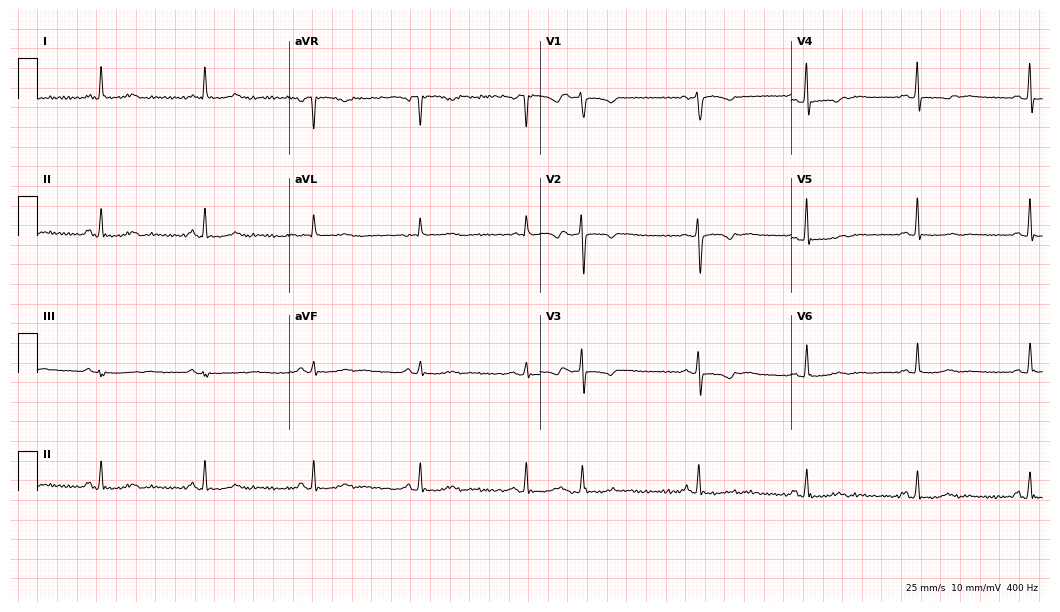
12-lead ECG from a 79-year-old female. Screened for six findings — first-degree AV block, right bundle branch block, left bundle branch block, sinus bradycardia, atrial fibrillation, sinus tachycardia — none is recorded. Only these six findings were labelled.